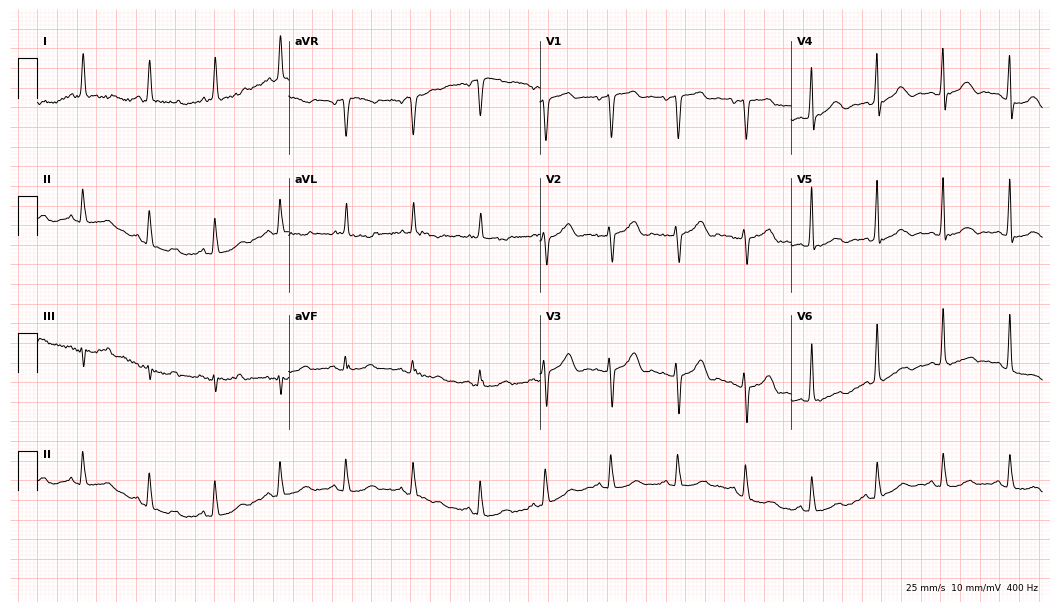
Standard 12-lead ECG recorded from an 86-year-old woman (10.2-second recording at 400 Hz). None of these six findings is recorded: first-degree AV block, right bundle branch block (RBBB), left bundle branch block (LBBB), sinus bradycardia, atrial fibrillation (AF), sinus tachycardia. Findings outside these six are not listed.